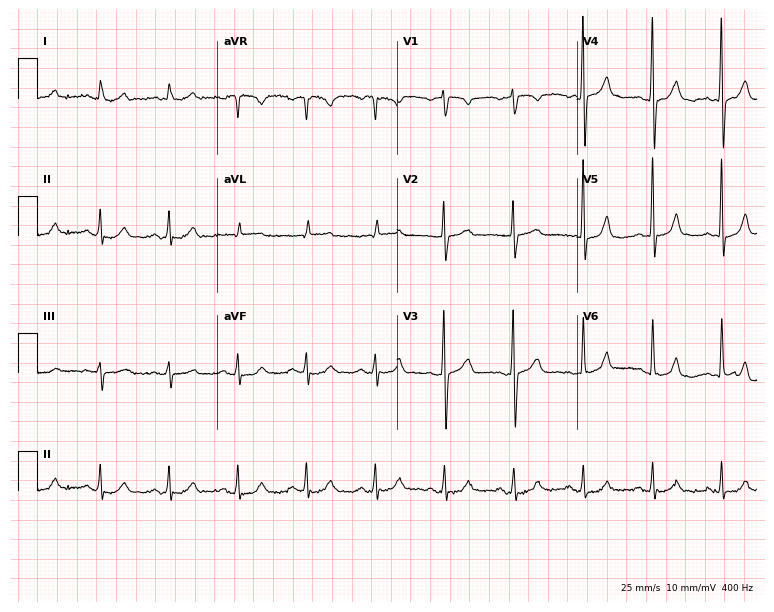
ECG (7.3-second recording at 400 Hz) — a 58-year-old male. Screened for six findings — first-degree AV block, right bundle branch block, left bundle branch block, sinus bradycardia, atrial fibrillation, sinus tachycardia — none is recorded.